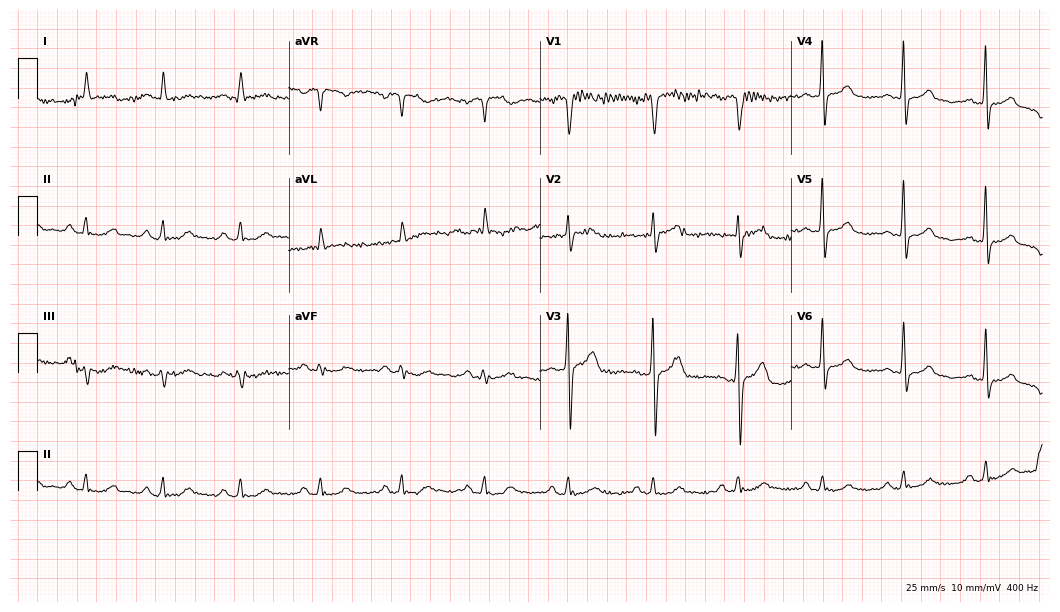
12-lead ECG from an 80-year-old man. Labelled as a normal ECG.